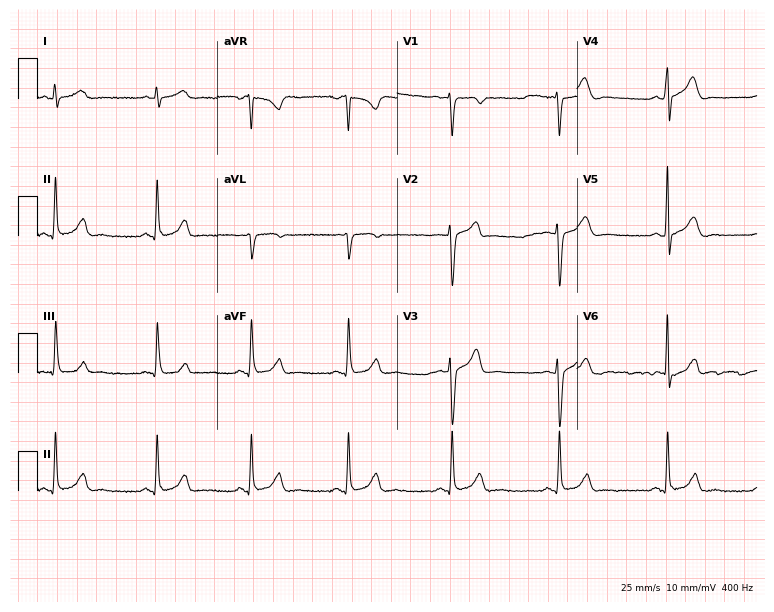
12-lead ECG from a 28-year-old man. Recorded interpretation: within normal limits.